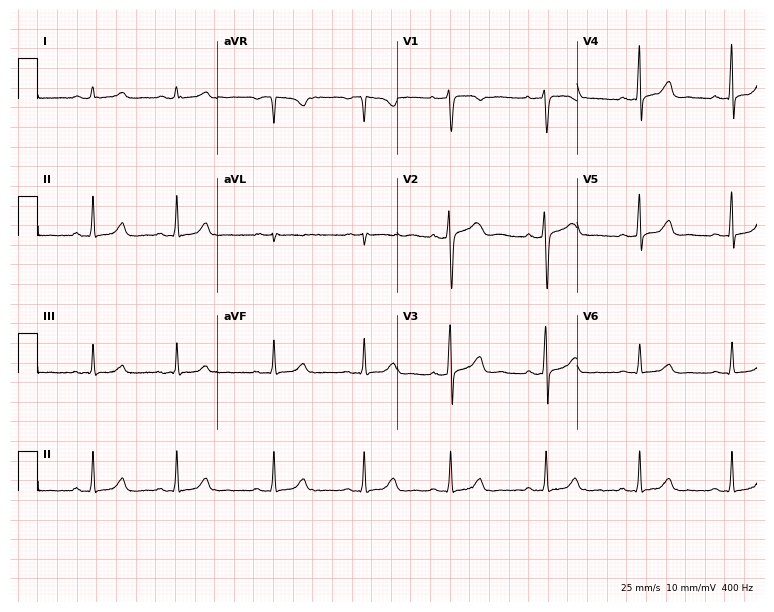
12-lead ECG from a female, 28 years old (7.3-second recording at 400 Hz). Recorded interpretation: within normal limits.